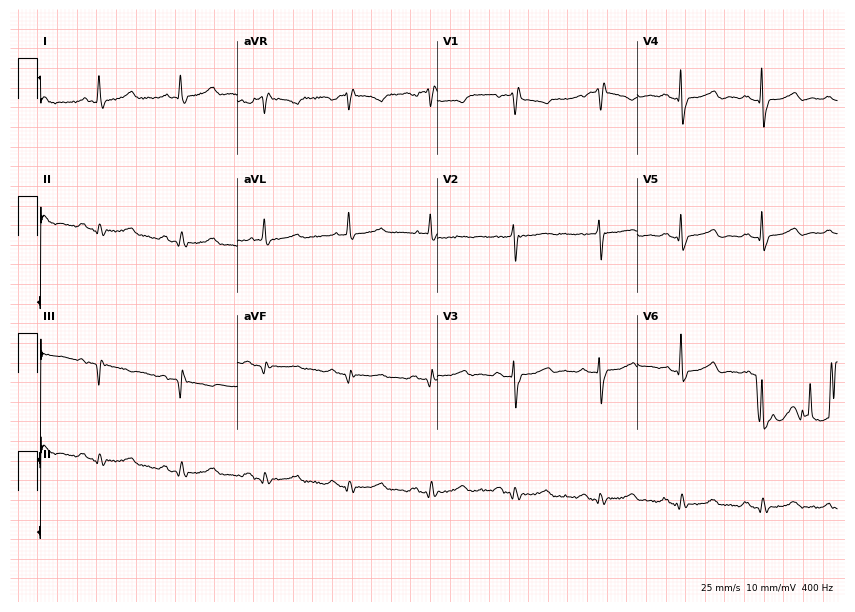
12-lead ECG from a 78-year-old female patient (8.2-second recording at 400 Hz). No first-degree AV block, right bundle branch block (RBBB), left bundle branch block (LBBB), sinus bradycardia, atrial fibrillation (AF) or sinus tachycardia recorded for this tracing. Findings outside these six are not listed.